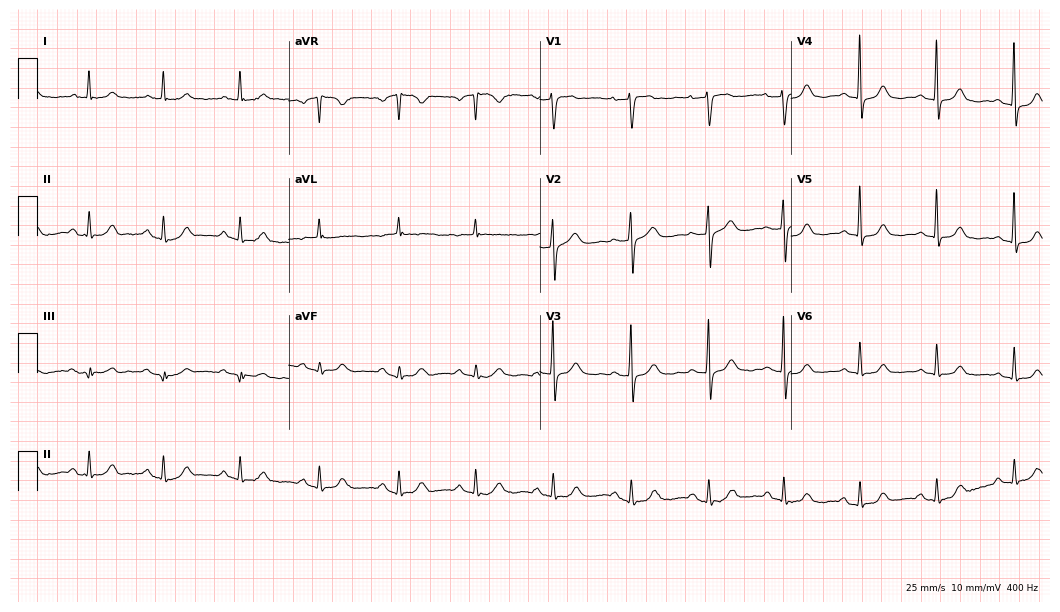
Resting 12-lead electrocardiogram. Patient: a woman, 66 years old. Read as a normal ECG.